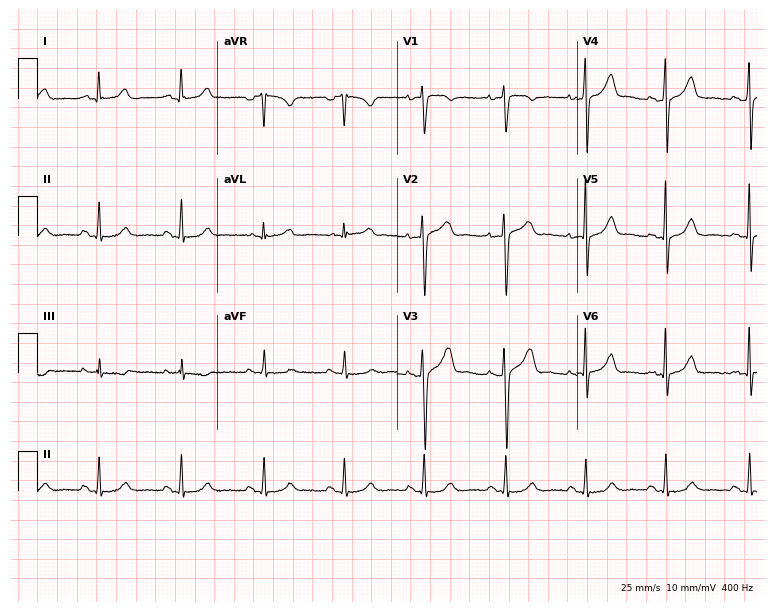
Electrocardiogram (7.3-second recording at 400 Hz), a female patient, 41 years old. Of the six screened findings (first-degree AV block, right bundle branch block, left bundle branch block, sinus bradycardia, atrial fibrillation, sinus tachycardia), none is recorded.